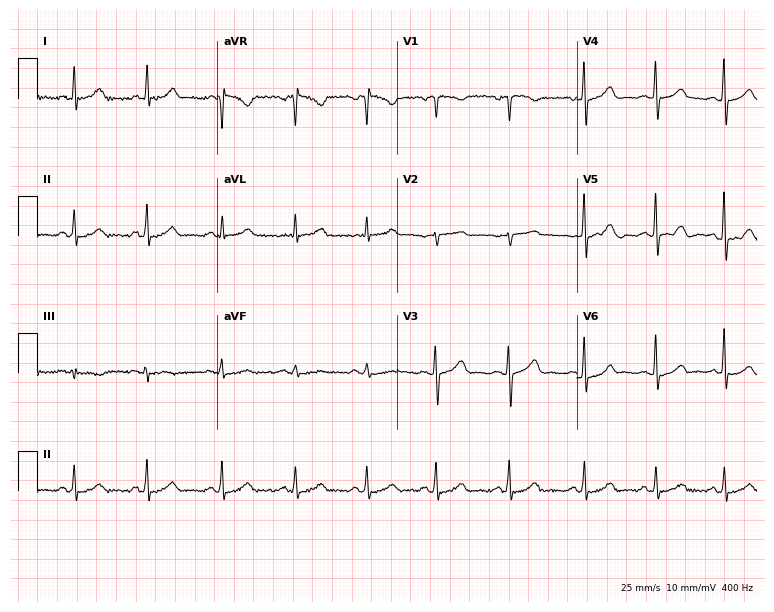
Resting 12-lead electrocardiogram. Patient: a 44-year-old woman. Read as a normal ECG.